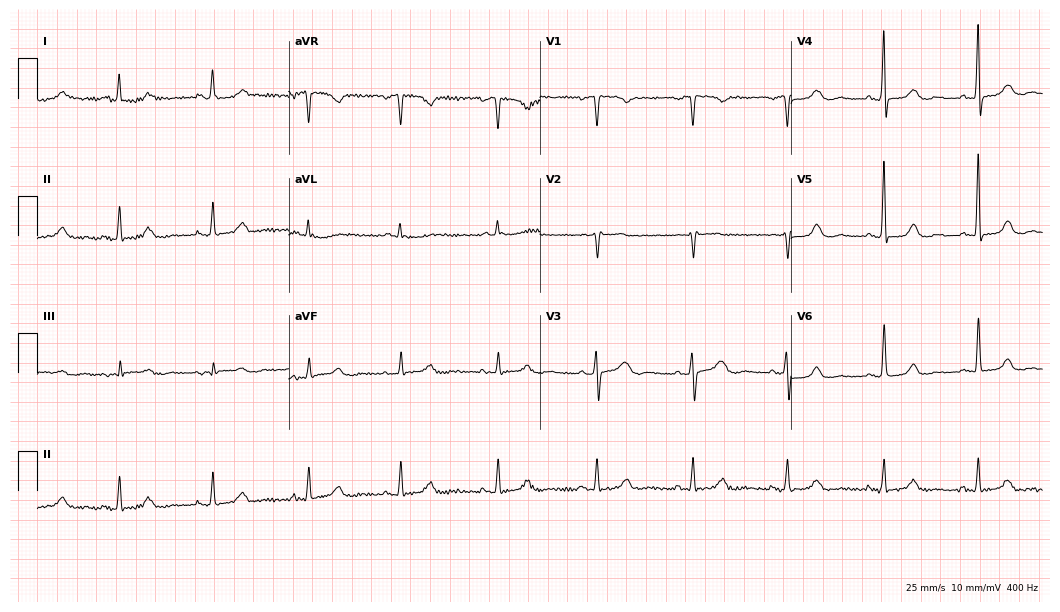
Standard 12-lead ECG recorded from a 60-year-old female (10.2-second recording at 400 Hz). Read as a normal ECG.